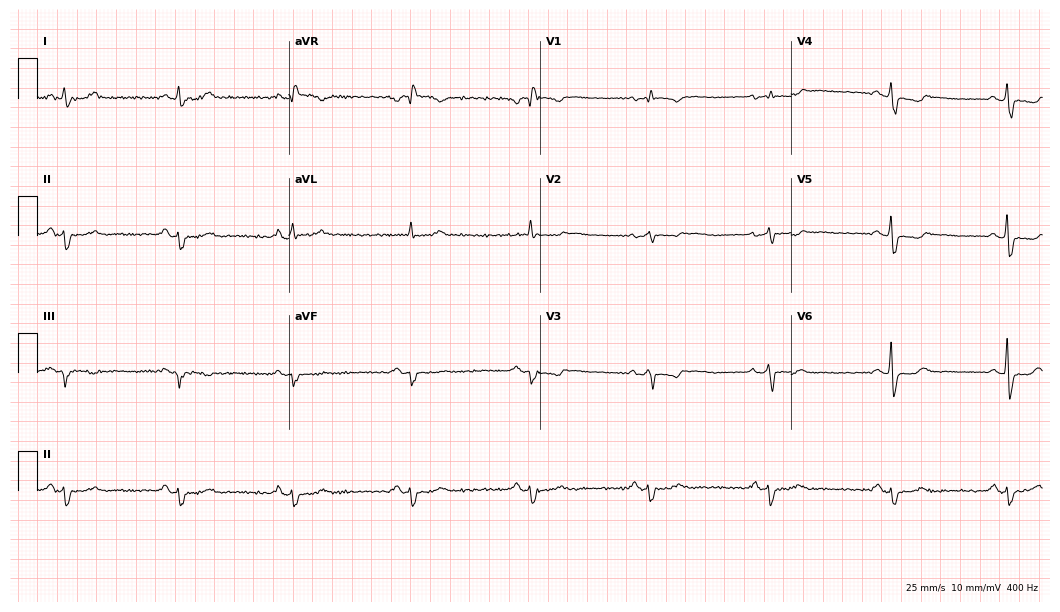
Standard 12-lead ECG recorded from a 68-year-old male. The tracing shows sinus bradycardia (a sinus rate of 50 beats per minute or less).